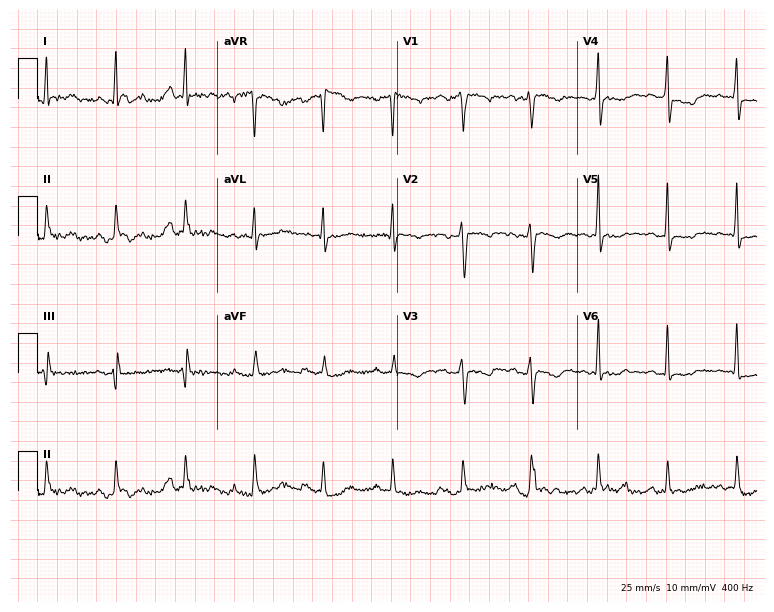
Electrocardiogram, a 41-year-old female. Of the six screened findings (first-degree AV block, right bundle branch block, left bundle branch block, sinus bradycardia, atrial fibrillation, sinus tachycardia), none is recorded. Only these six findings were labelled.